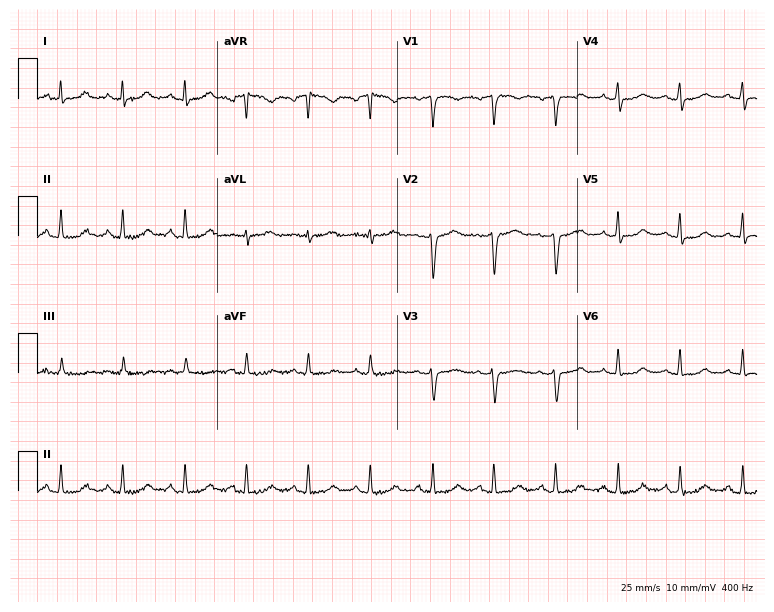
ECG — a woman, 55 years old. Screened for six findings — first-degree AV block, right bundle branch block (RBBB), left bundle branch block (LBBB), sinus bradycardia, atrial fibrillation (AF), sinus tachycardia — none is recorded. Findings outside these six are not listed.